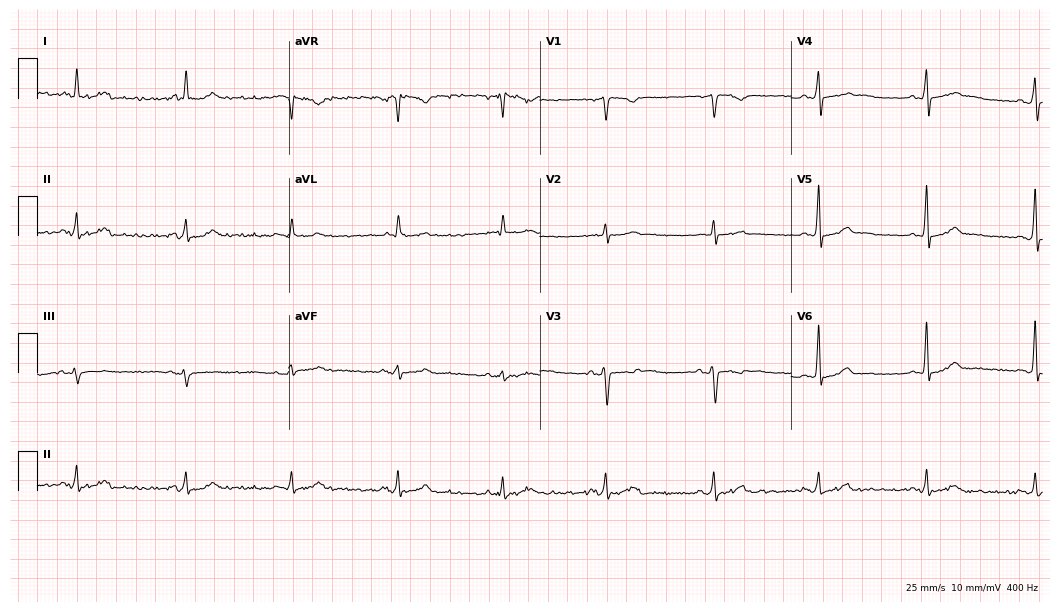
Standard 12-lead ECG recorded from a man, 54 years old (10.2-second recording at 400 Hz). Read as a normal ECG.